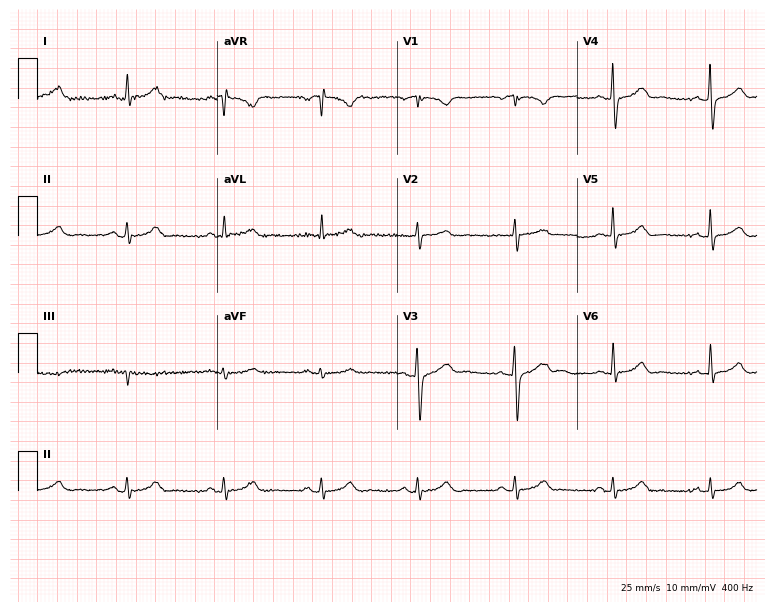
Standard 12-lead ECG recorded from a 74-year-old man. Read as a normal ECG.